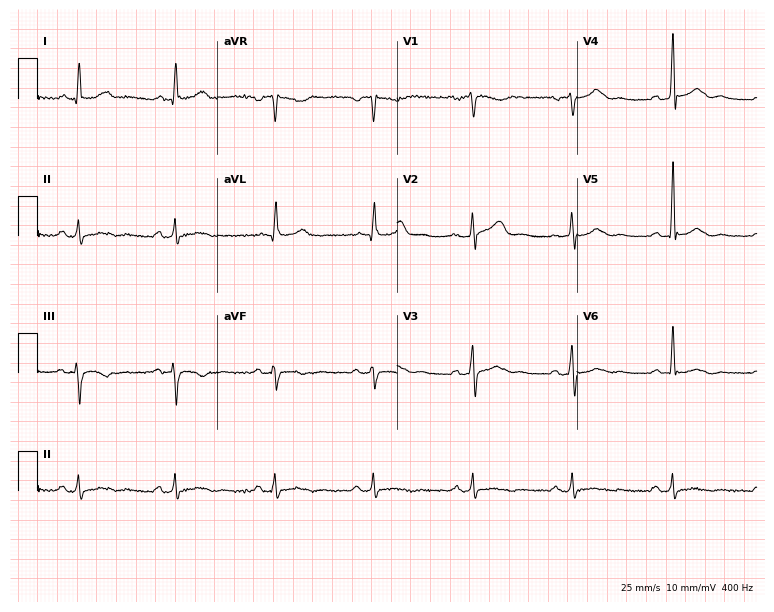
ECG (7.3-second recording at 400 Hz) — a 67-year-old male patient. Labelled as a normal ECG.